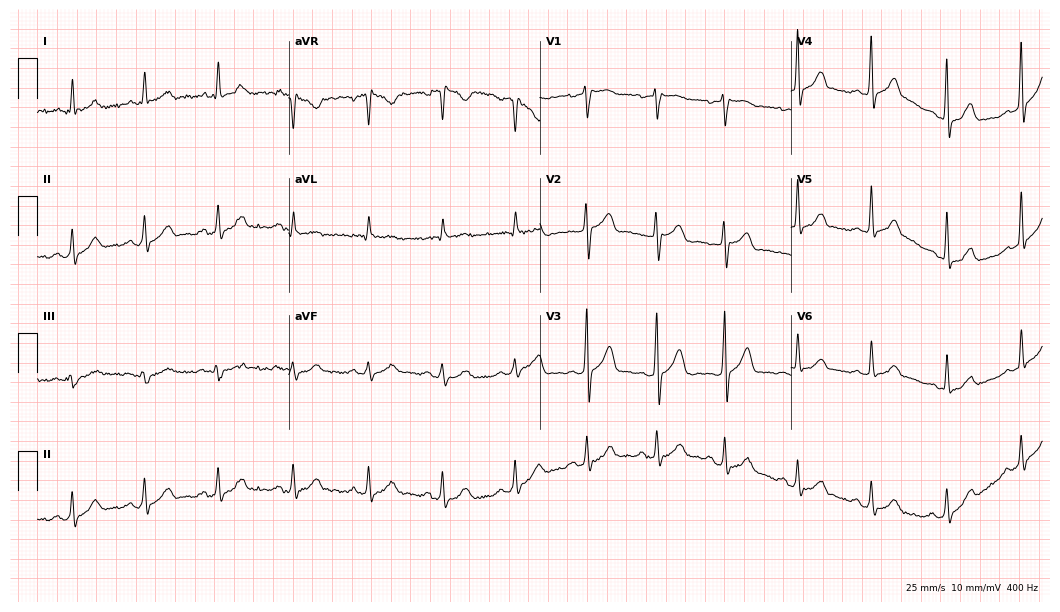
Electrocardiogram, a 41-year-old male patient. Overall reading on record: normal ECG.